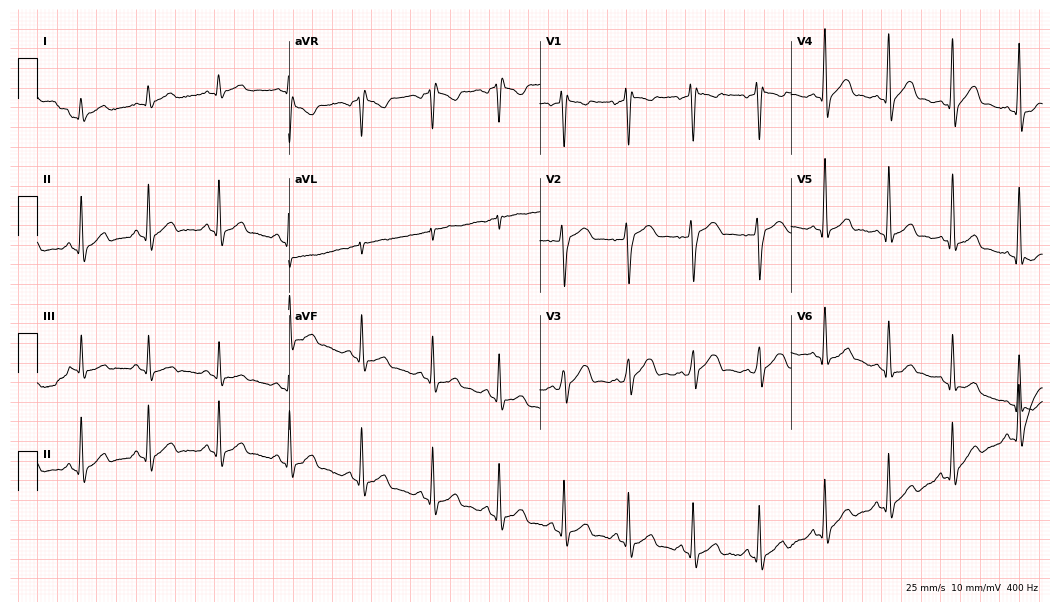
ECG — a 40-year-old male. Labelled as a normal ECG.